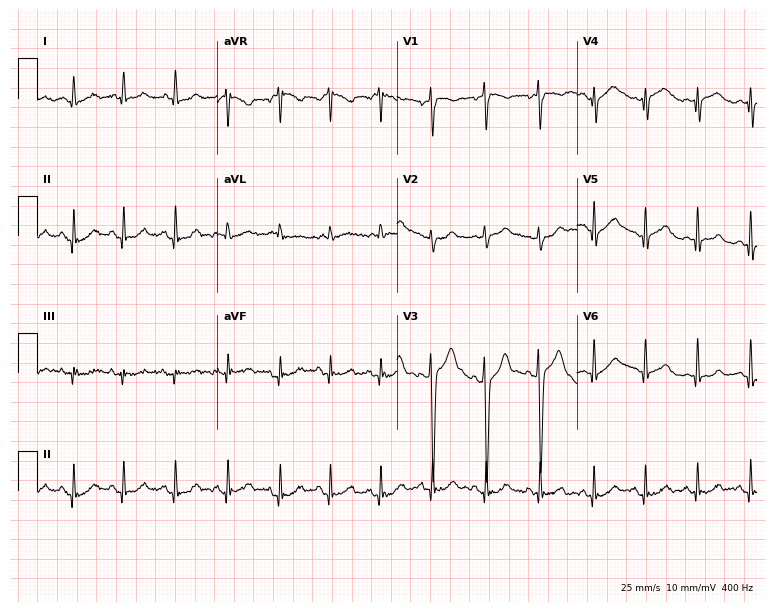
12-lead ECG from a man, 34 years old. Shows sinus tachycardia (a sinus rate of 100 beats per minute or more).